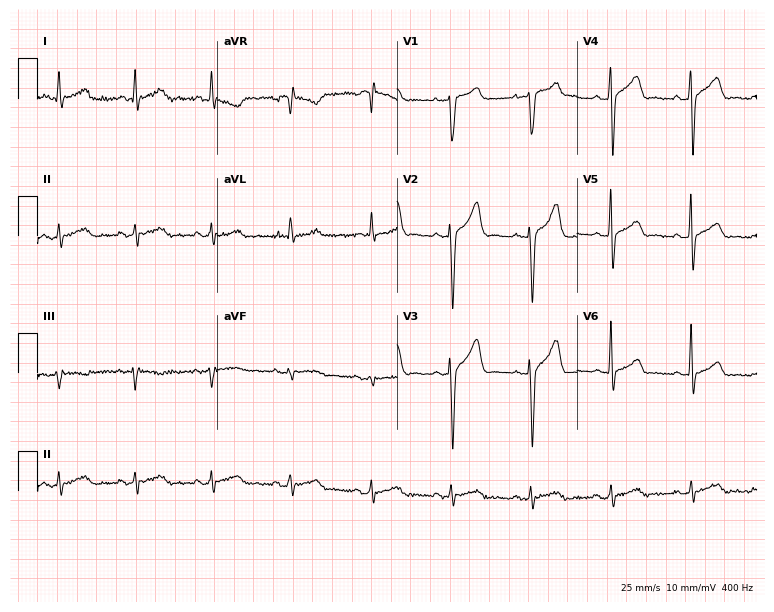
12-lead ECG (7.3-second recording at 400 Hz) from a male, 35 years old. Labelled as a normal ECG.